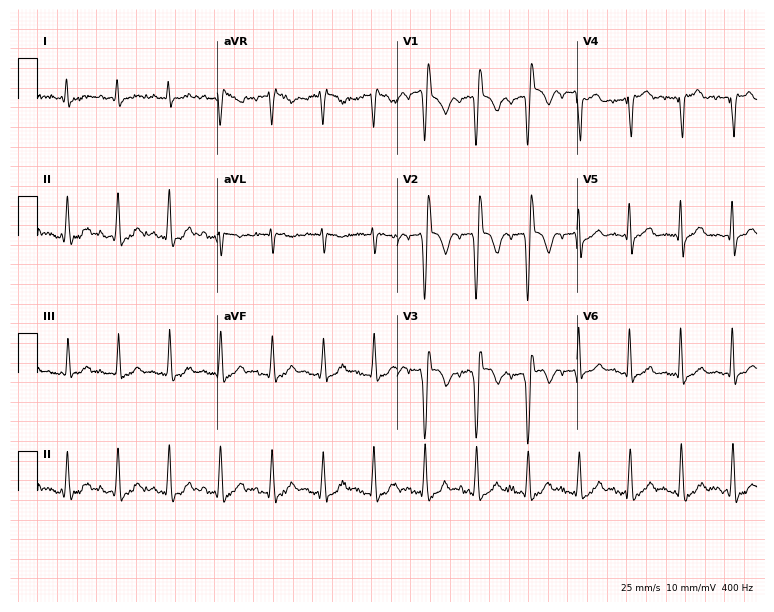
Standard 12-lead ECG recorded from a 71-year-old male patient (7.3-second recording at 400 Hz). The tracing shows sinus tachycardia (a sinus rate of 100 beats per minute or more).